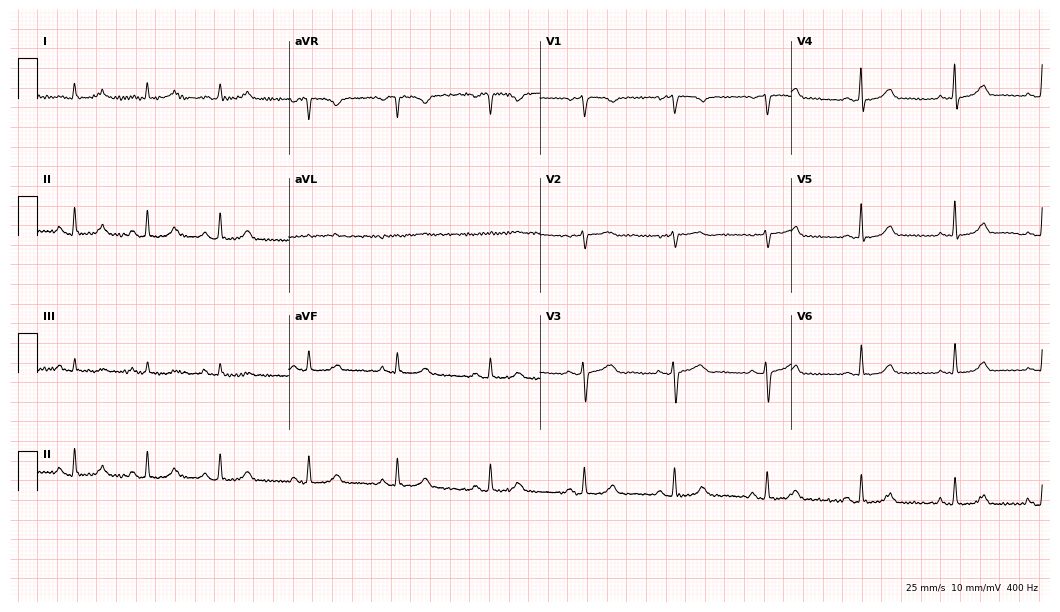
Standard 12-lead ECG recorded from a 48-year-old female patient. Read as a normal ECG.